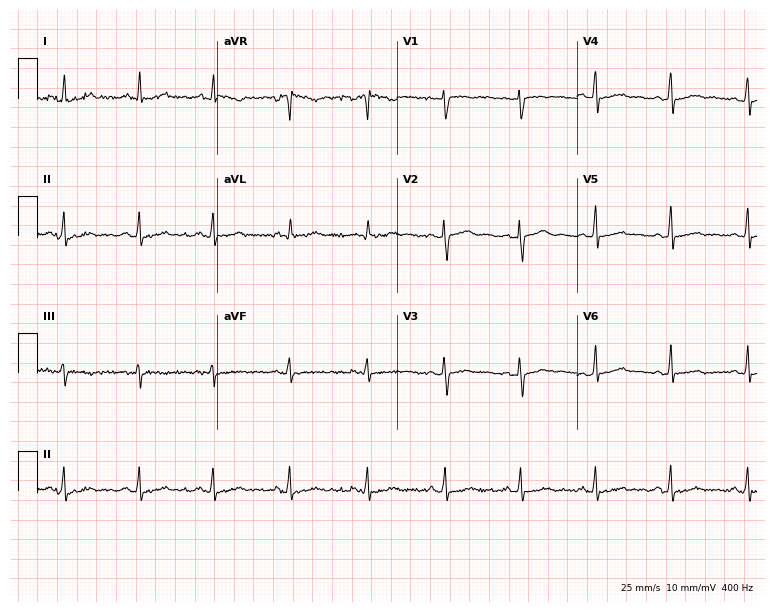
Resting 12-lead electrocardiogram (7.3-second recording at 400 Hz). Patient: a female, 25 years old. None of these six findings is recorded: first-degree AV block, right bundle branch block, left bundle branch block, sinus bradycardia, atrial fibrillation, sinus tachycardia.